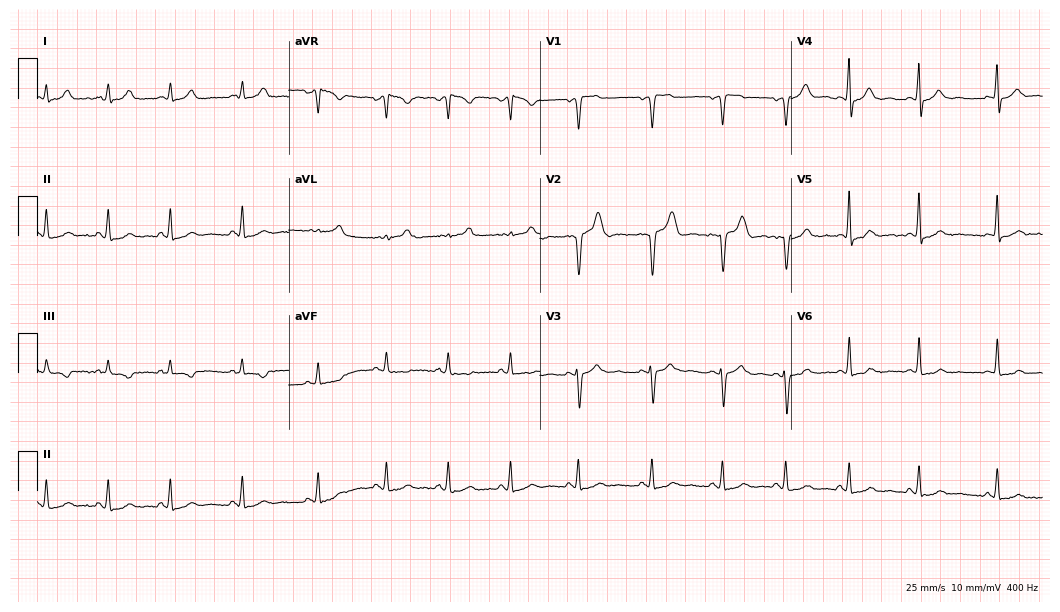
Resting 12-lead electrocardiogram (10.2-second recording at 400 Hz). Patient: a female, 21 years old. None of these six findings is recorded: first-degree AV block, right bundle branch block, left bundle branch block, sinus bradycardia, atrial fibrillation, sinus tachycardia.